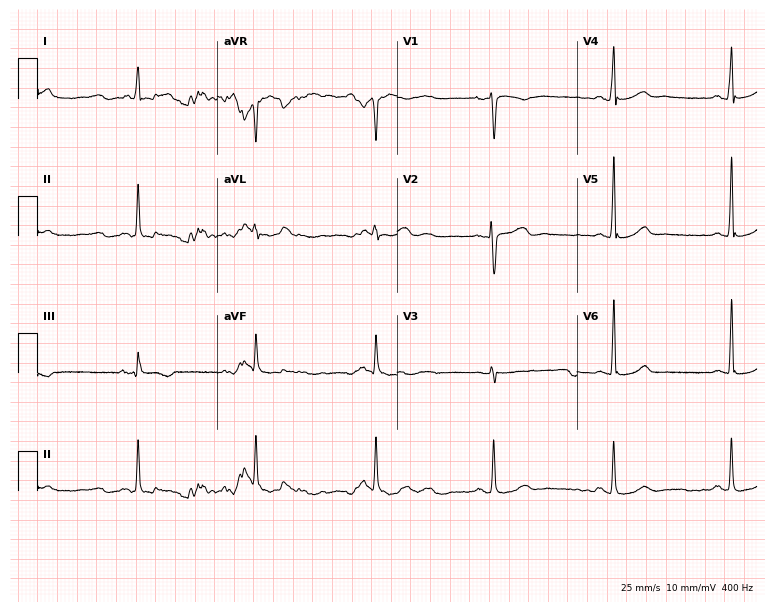
Resting 12-lead electrocardiogram (7.3-second recording at 400 Hz). Patient: a female, 39 years old. The tracing shows sinus bradycardia (a sinus rate of 50 beats per minute or less).